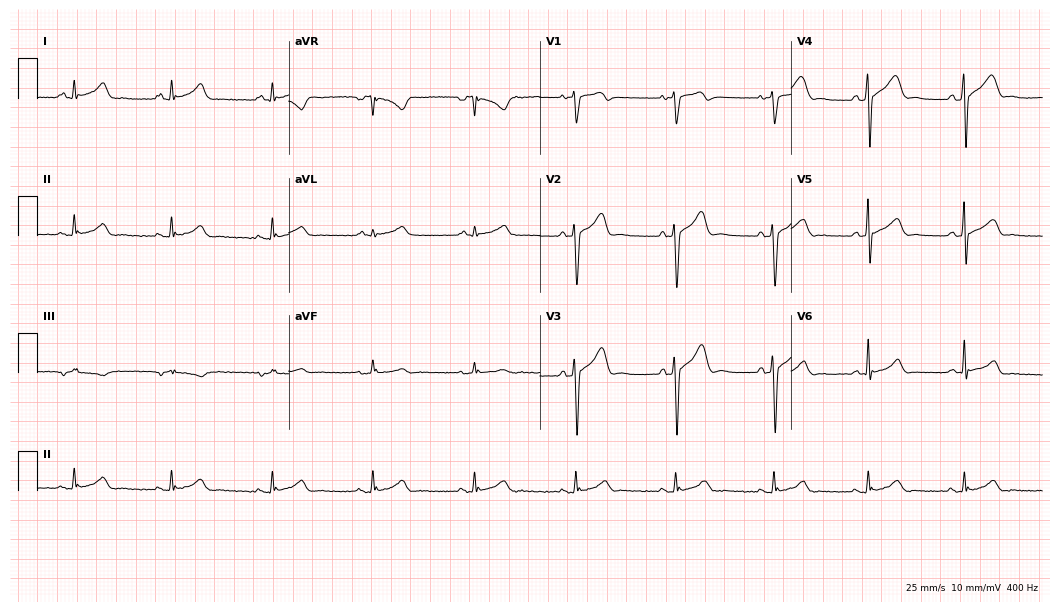
Resting 12-lead electrocardiogram (10.2-second recording at 400 Hz). Patient: a 48-year-old male. Read as a normal ECG.